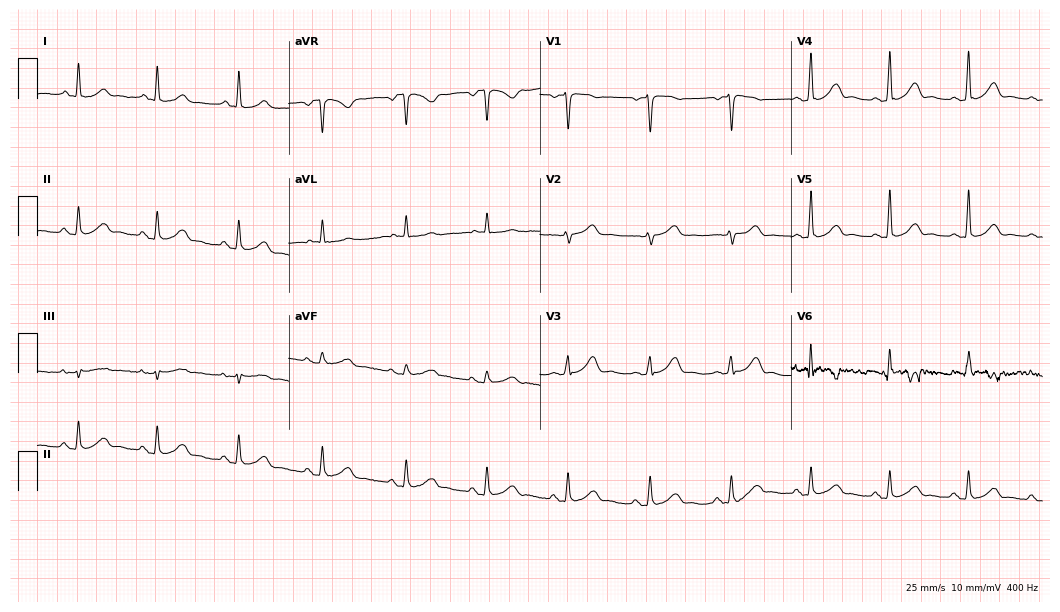
Electrocardiogram (10.2-second recording at 400 Hz), a woman, 59 years old. Overall reading on record: normal ECG.